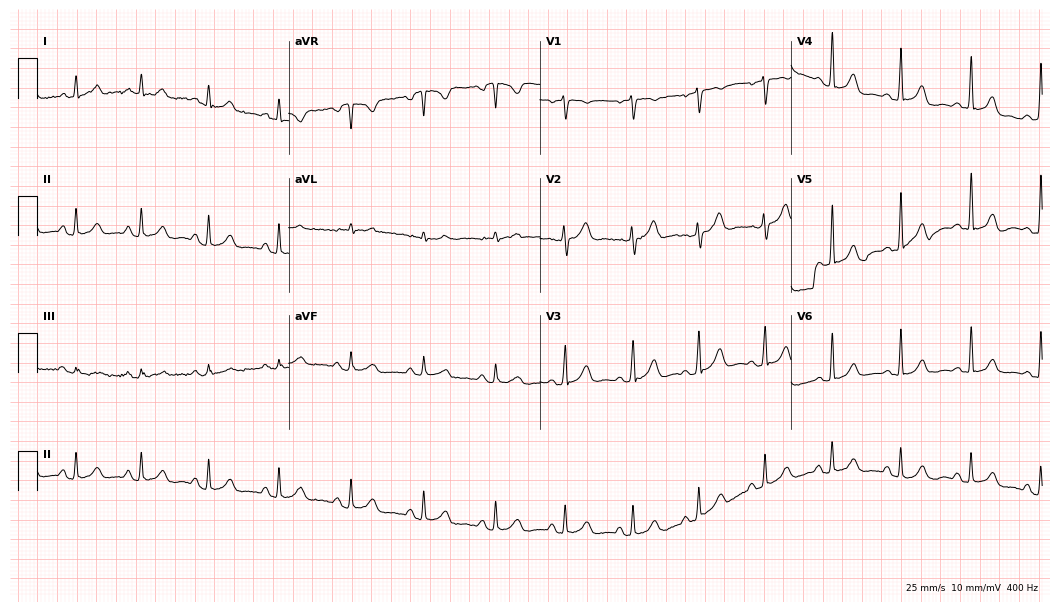
Resting 12-lead electrocardiogram. Patient: a female, 30 years old. None of these six findings is recorded: first-degree AV block, right bundle branch block (RBBB), left bundle branch block (LBBB), sinus bradycardia, atrial fibrillation (AF), sinus tachycardia.